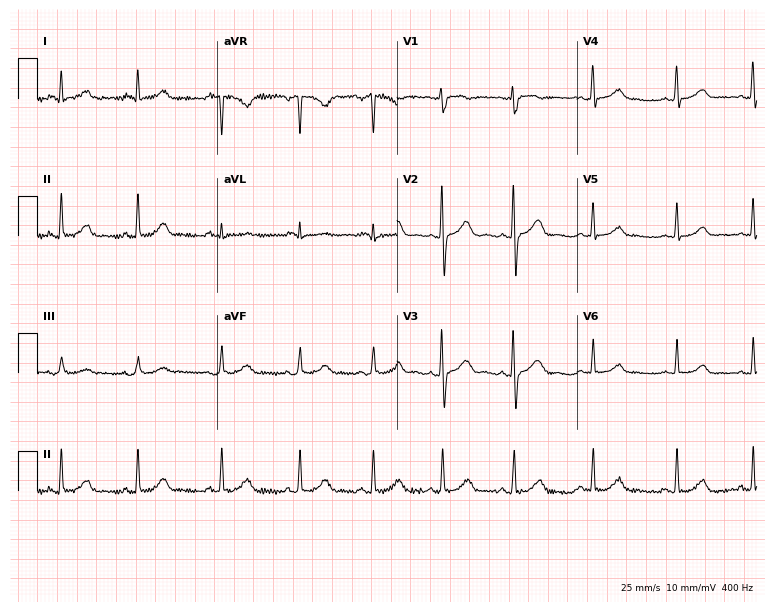
Standard 12-lead ECG recorded from a female patient, 27 years old (7.3-second recording at 400 Hz). Read as a normal ECG.